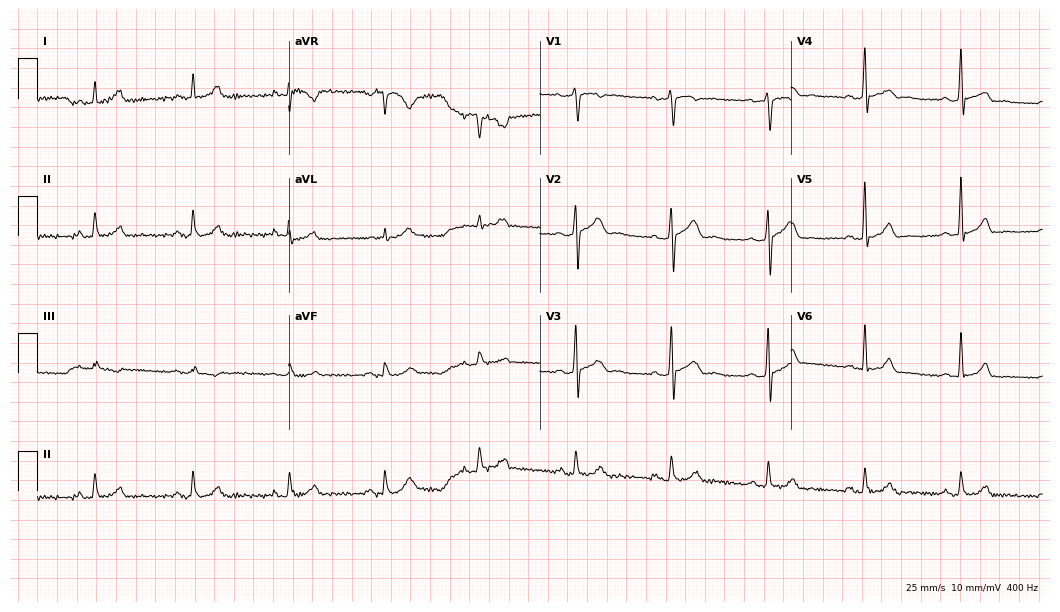
12-lead ECG (10.2-second recording at 400 Hz) from a 54-year-old male patient. Labelled as a normal ECG.